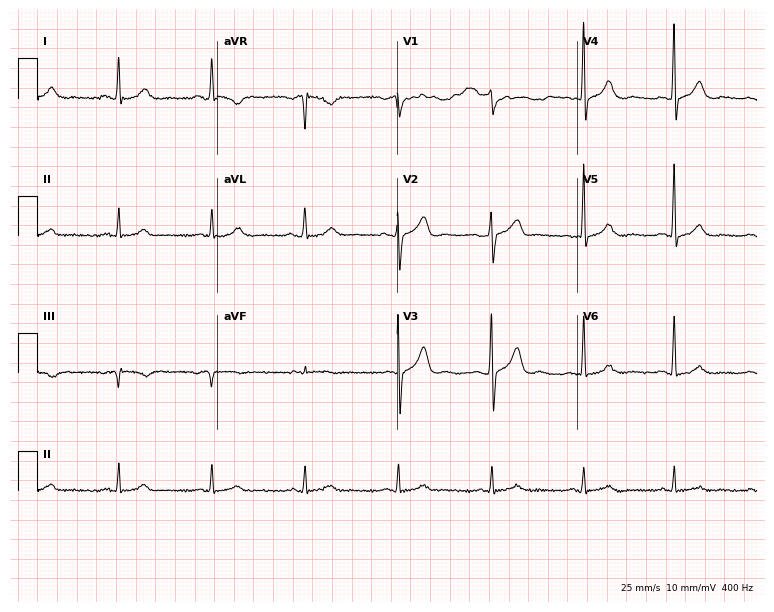
12-lead ECG from a man, 71 years old. Labelled as a normal ECG.